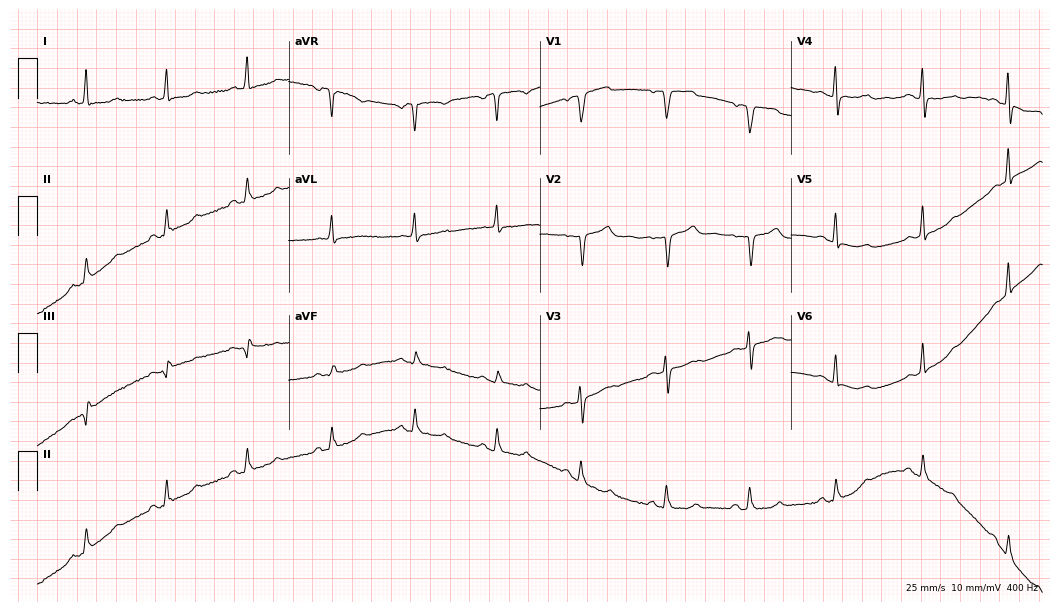
12-lead ECG from a 54-year-old woman. Screened for six findings — first-degree AV block, right bundle branch block, left bundle branch block, sinus bradycardia, atrial fibrillation, sinus tachycardia — none is recorded.